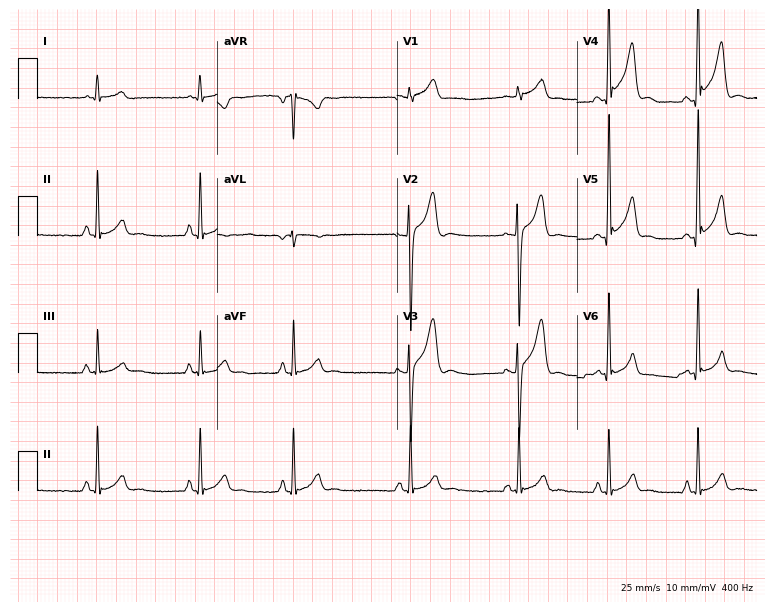
ECG (7.3-second recording at 400 Hz) — a male, 23 years old. Labelled as a normal ECG.